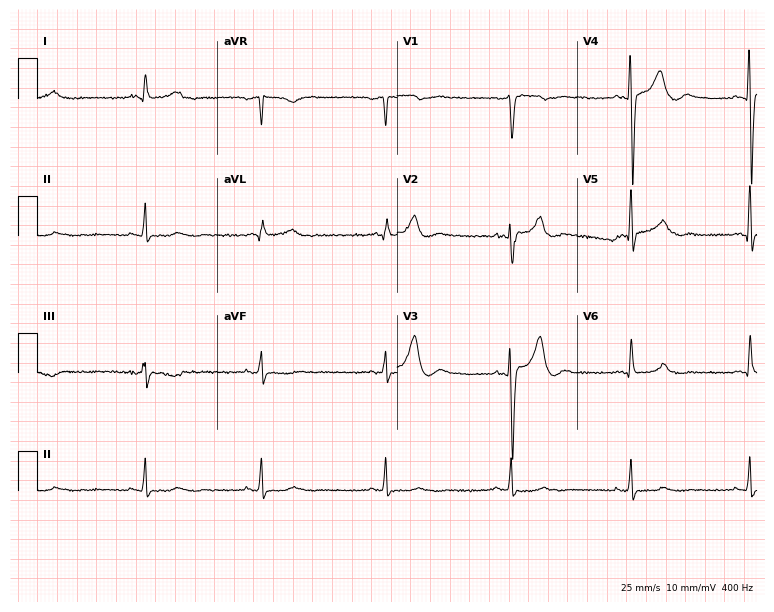
12-lead ECG from a male patient, 34 years old. Shows sinus bradycardia (a sinus rate of 50 beats per minute or less).